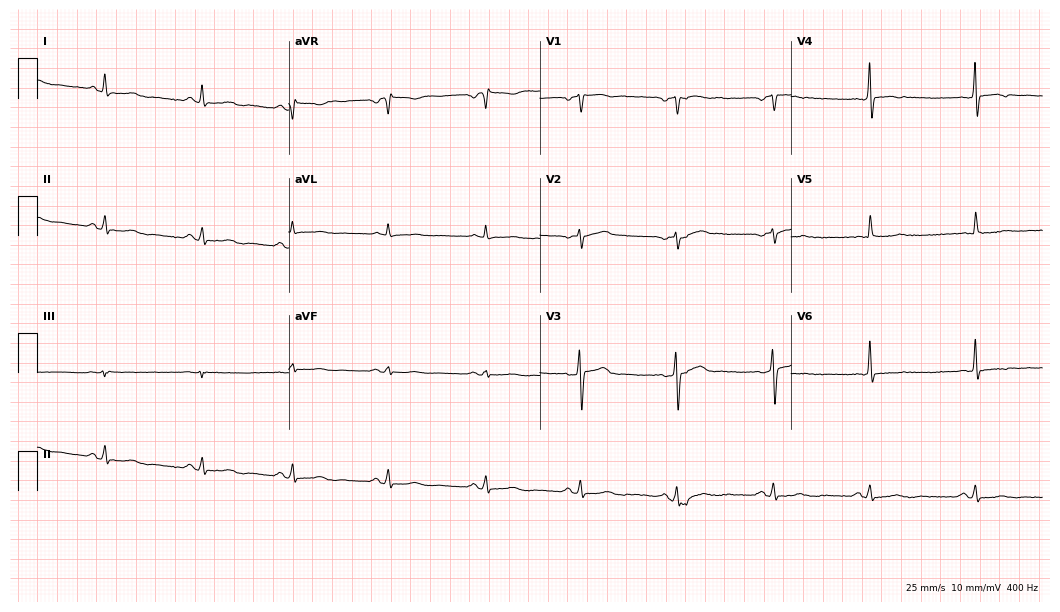
Electrocardiogram, a female patient, 76 years old. Overall reading on record: normal ECG.